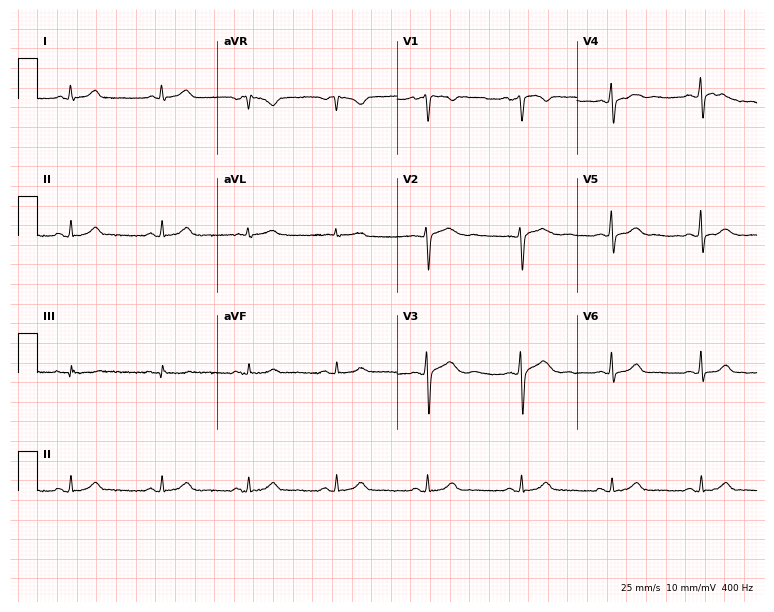
Resting 12-lead electrocardiogram. Patient: a 31-year-old female. Read as a normal ECG.